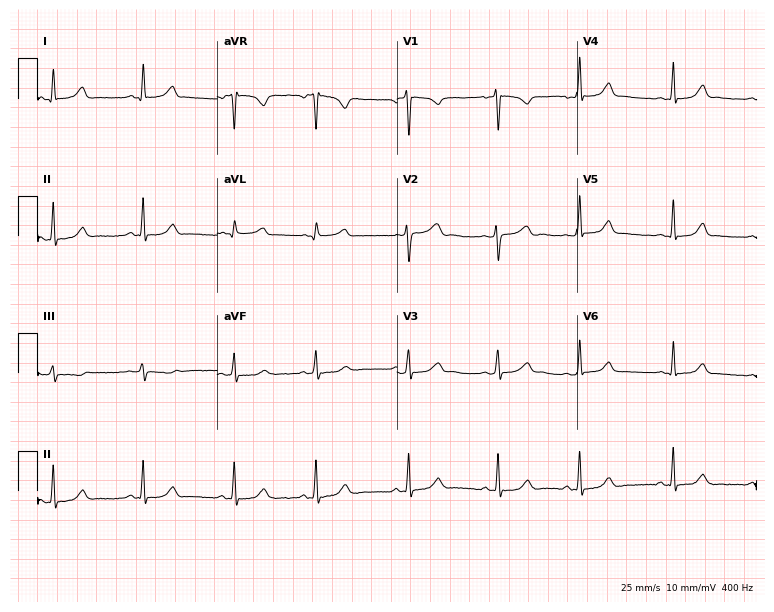
ECG (7.3-second recording at 400 Hz) — a woman, 20 years old. Screened for six findings — first-degree AV block, right bundle branch block, left bundle branch block, sinus bradycardia, atrial fibrillation, sinus tachycardia — none is recorded.